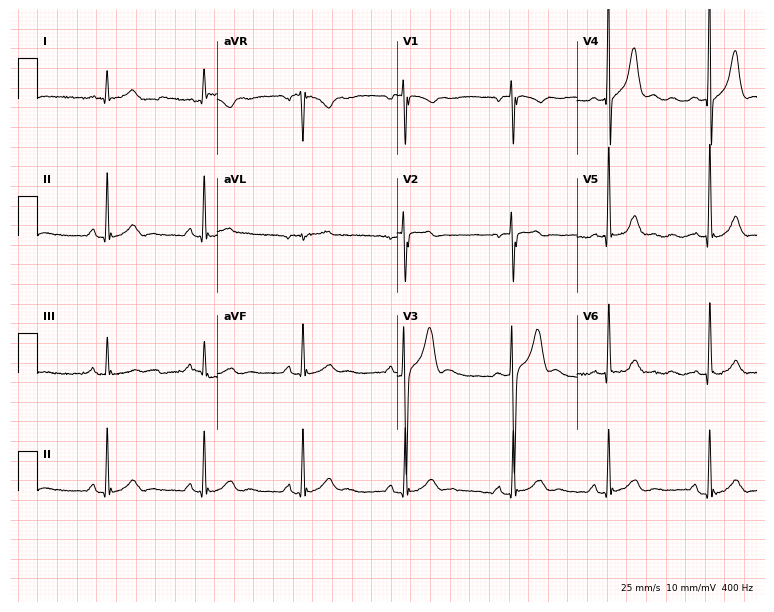
Electrocardiogram, a male, 34 years old. Overall reading on record: normal ECG.